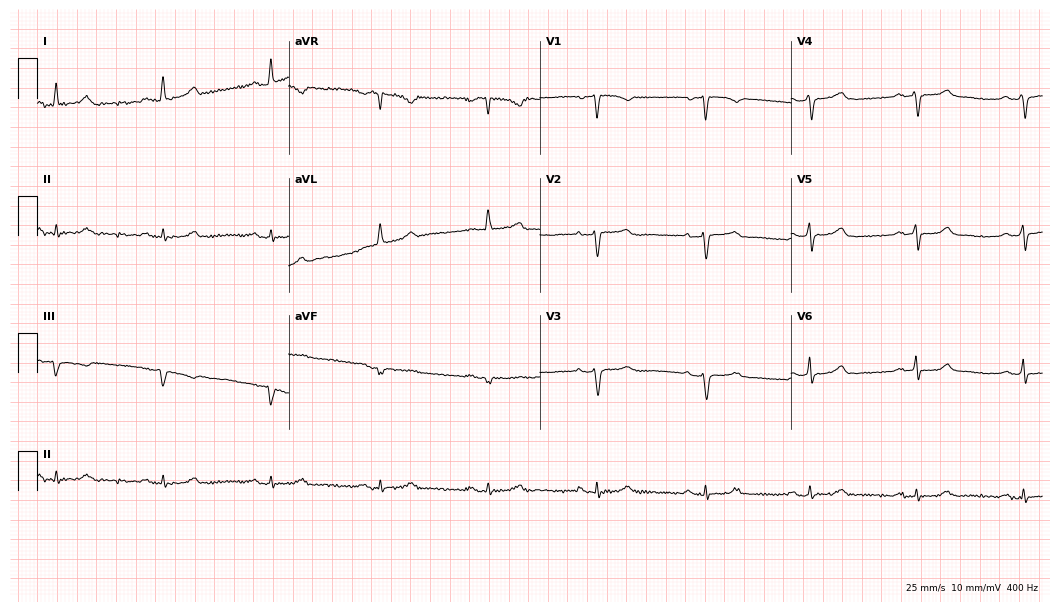
Resting 12-lead electrocardiogram. Patient: a 52-year-old female. None of these six findings is recorded: first-degree AV block, right bundle branch block (RBBB), left bundle branch block (LBBB), sinus bradycardia, atrial fibrillation (AF), sinus tachycardia.